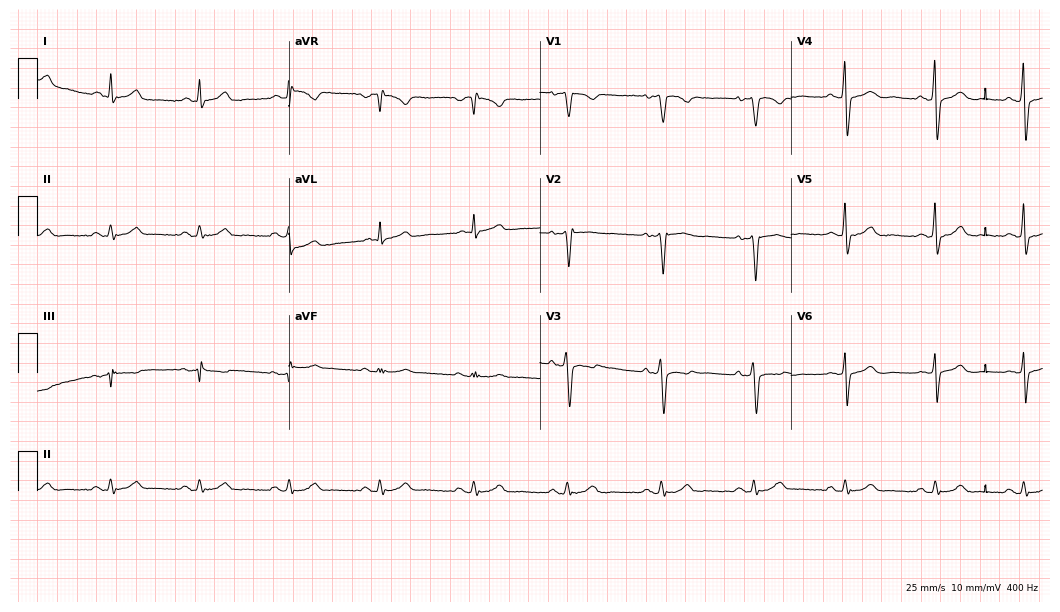
12-lead ECG (10.2-second recording at 400 Hz) from a 52-year-old male. Screened for six findings — first-degree AV block, right bundle branch block, left bundle branch block, sinus bradycardia, atrial fibrillation, sinus tachycardia — none is recorded. Only these six findings were labelled.